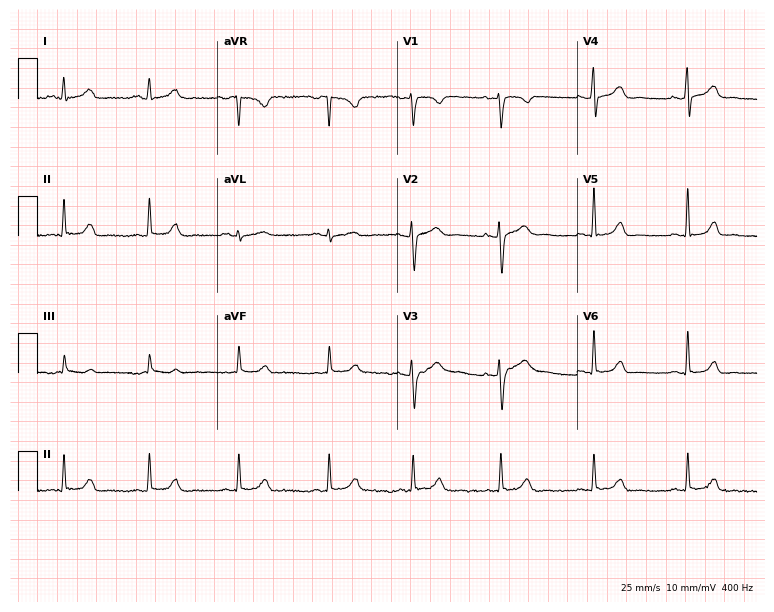
Resting 12-lead electrocardiogram. Patient: a 28-year-old woman. Read as a normal ECG.